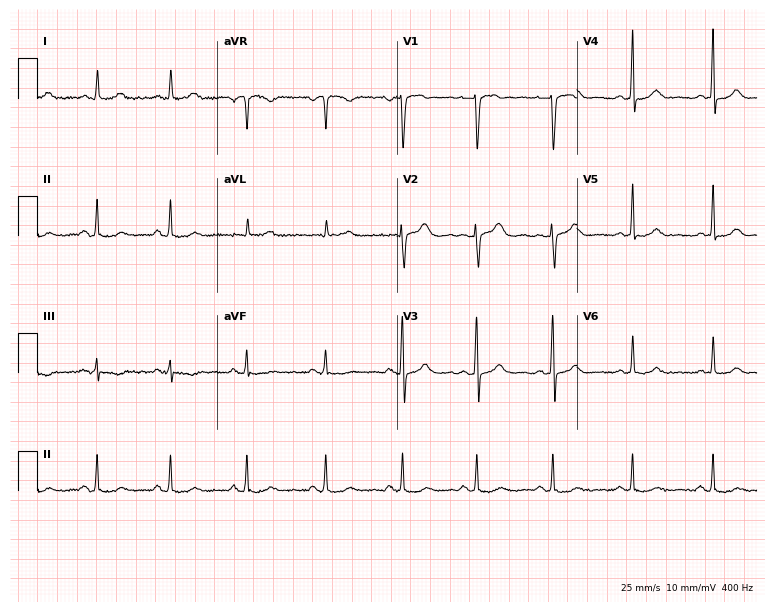
Standard 12-lead ECG recorded from a woman, 34 years old. Read as a normal ECG.